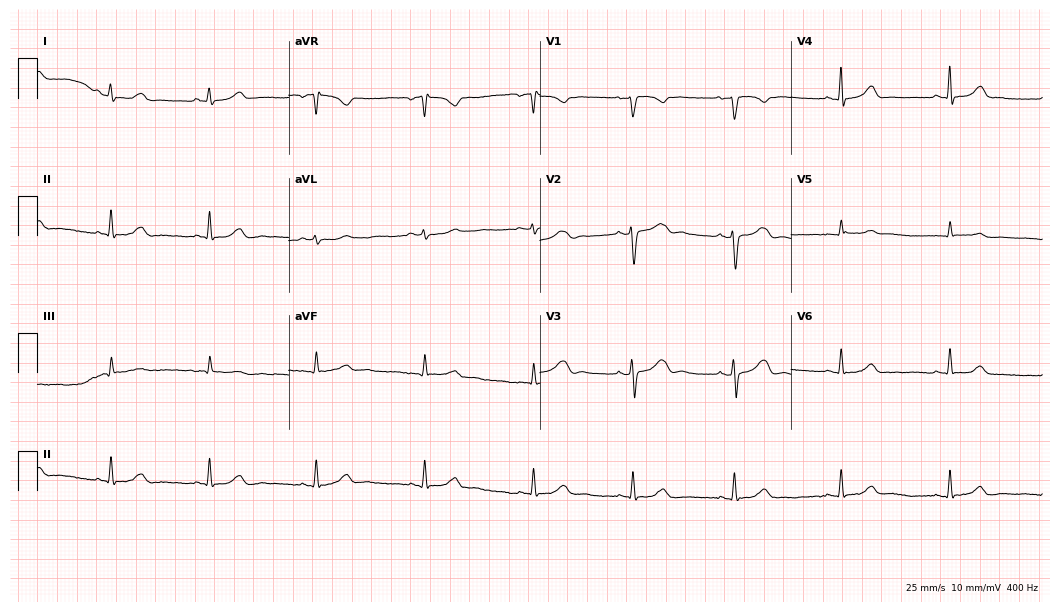
Electrocardiogram, a 29-year-old female patient. Of the six screened findings (first-degree AV block, right bundle branch block (RBBB), left bundle branch block (LBBB), sinus bradycardia, atrial fibrillation (AF), sinus tachycardia), none is recorded. Only these six findings were labelled.